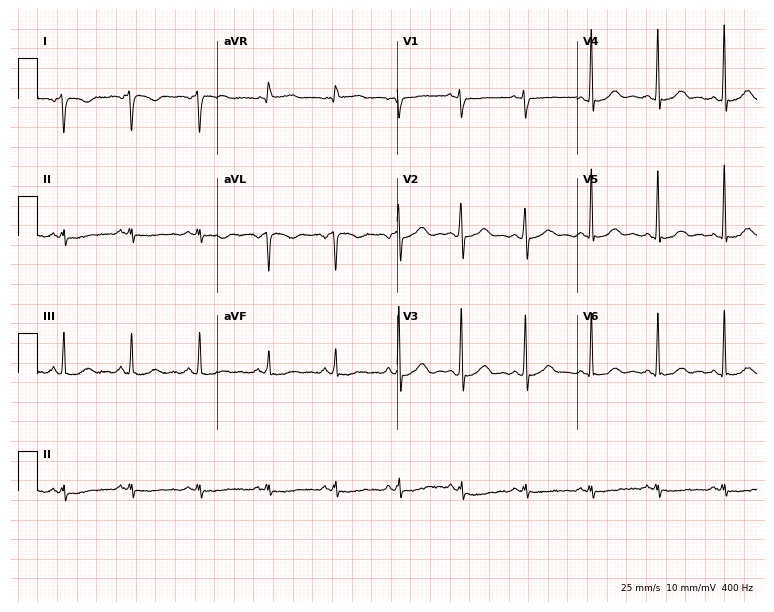
Standard 12-lead ECG recorded from a female patient, 39 years old (7.3-second recording at 400 Hz). None of these six findings is recorded: first-degree AV block, right bundle branch block, left bundle branch block, sinus bradycardia, atrial fibrillation, sinus tachycardia. Findings outside these six are not listed.